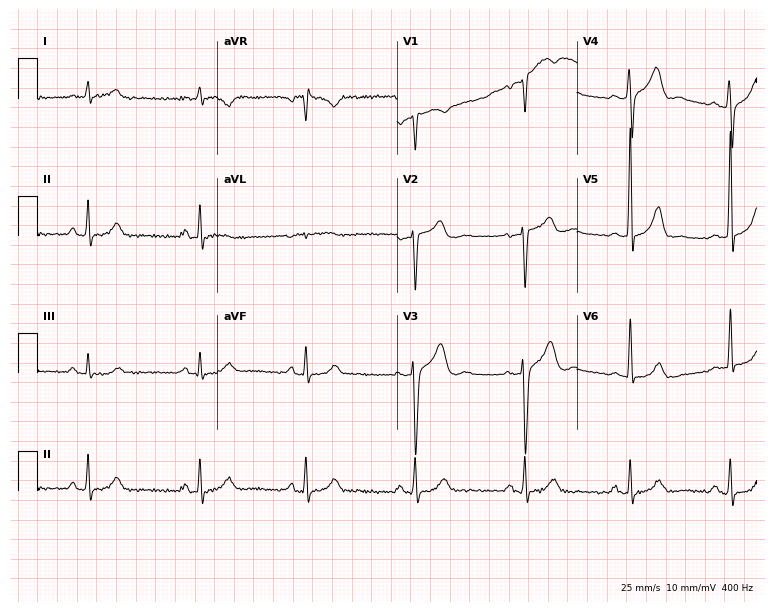
Resting 12-lead electrocardiogram. Patient: a male, 47 years old. None of these six findings is recorded: first-degree AV block, right bundle branch block, left bundle branch block, sinus bradycardia, atrial fibrillation, sinus tachycardia. Only these six findings were labelled.